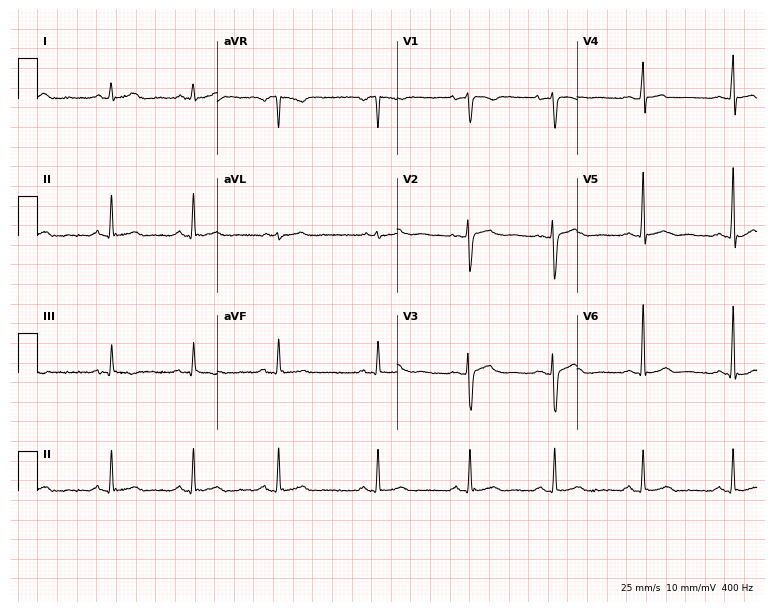
ECG — a woman, 22 years old. Labelled as a normal ECG.